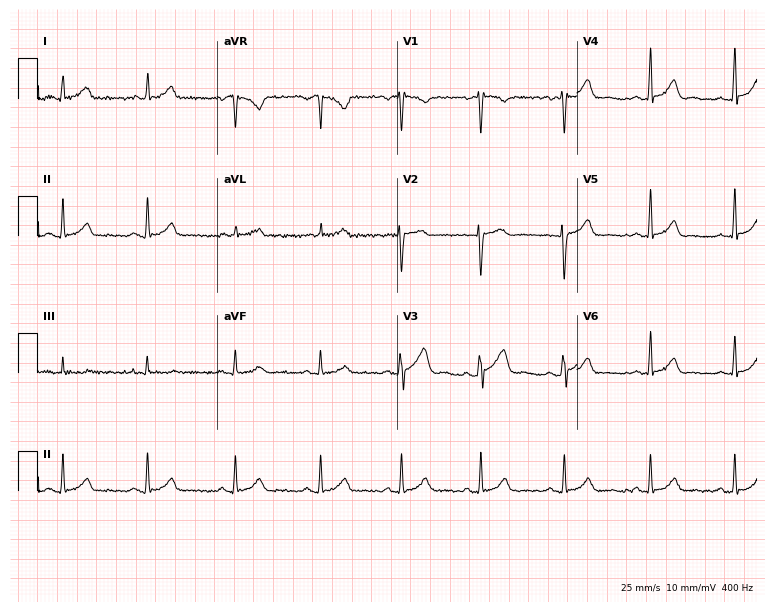
12-lead ECG from a 28-year-old woman. Labelled as a normal ECG.